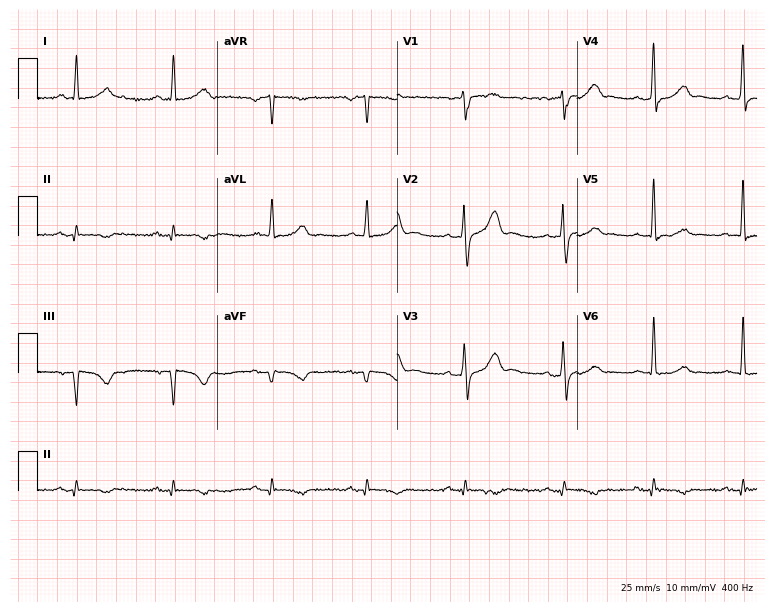
Resting 12-lead electrocardiogram. Patient: a 71-year-old male. None of these six findings is recorded: first-degree AV block, right bundle branch block, left bundle branch block, sinus bradycardia, atrial fibrillation, sinus tachycardia. Other findings, if any, are not listed.